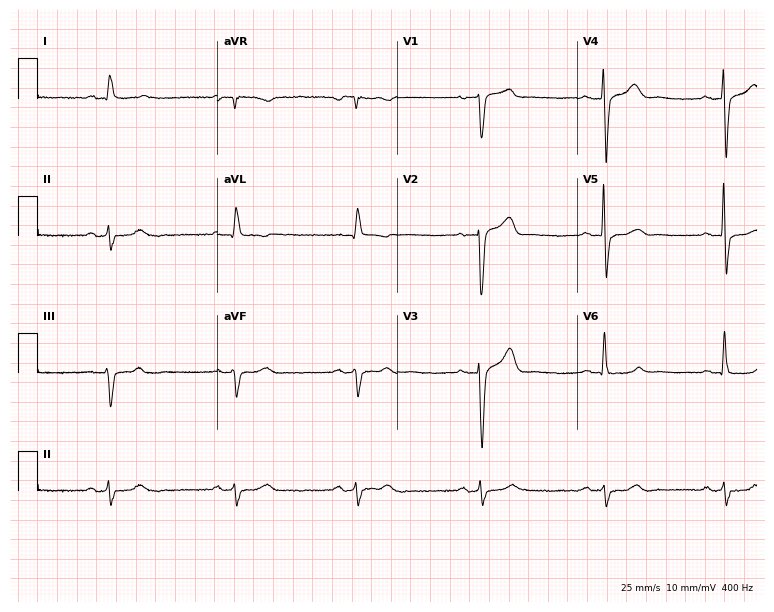
12-lead ECG (7.3-second recording at 400 Hz) from a 76-year-old male patient. Findings include sinus bradycardia (a sinus rate of 50 beats per minute or less).